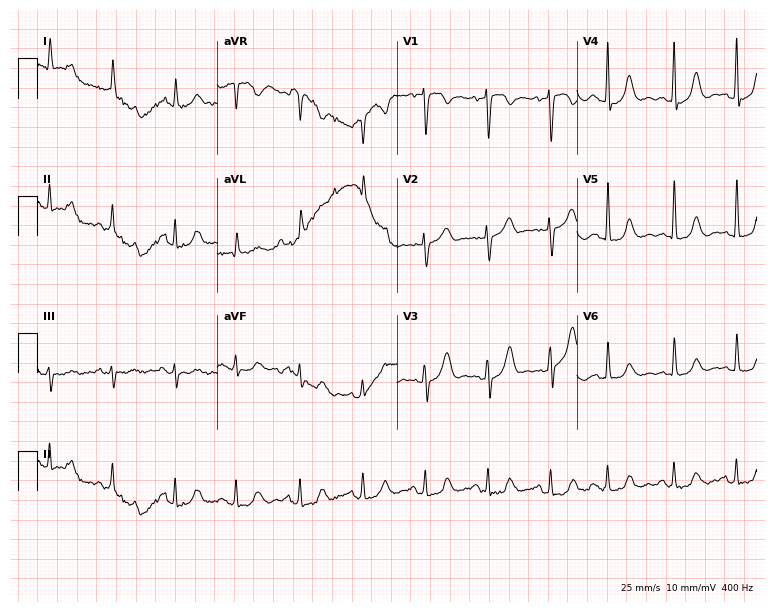
Resting 12-lead electrocardiogram. Patient: an 81-year-old man. None of these six findings is recorded: first-degree AV block, right bundle branch block, left bundle branch block, sinus bradycardia, atrial fibrillation, sinus tachycardia. Other findings, if any, are not listed.